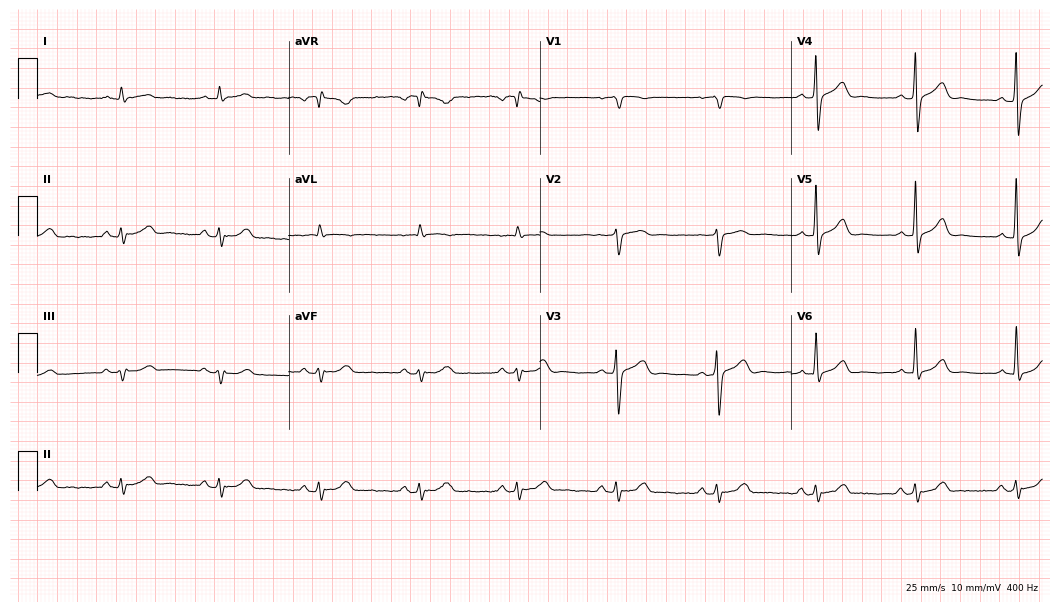
Standard 12-lead ECG recorded from a 66-year-old man. Read as a normal ECG.